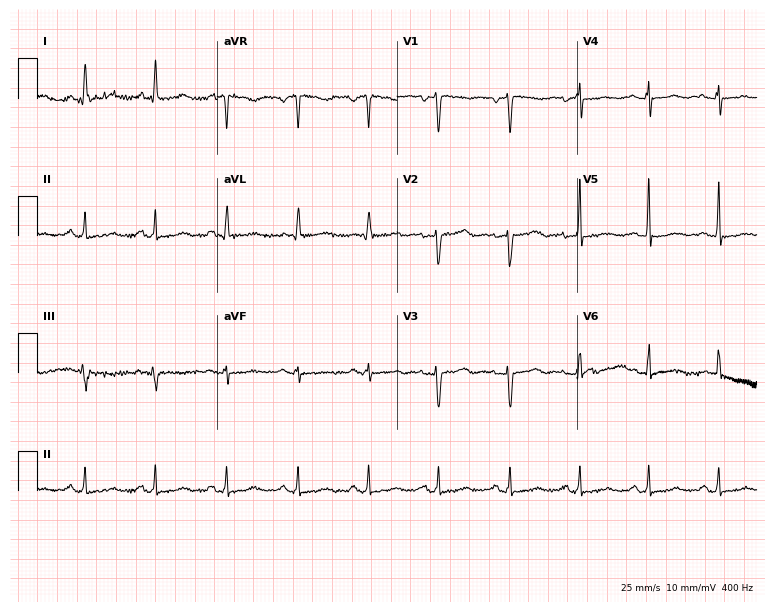
ECG — a 59-year-old woman. Screened for six findings — first-degree AV block, right bundle branch block, left bundle branch block, sinus bradycardia, atrial fibrillation, sinus tachycardia — none is recorded. Only these six findings were labelled.